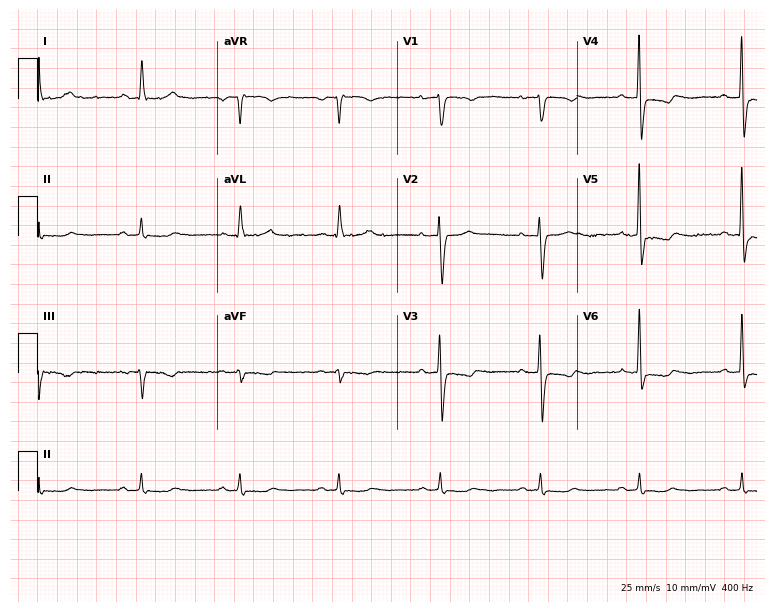
Electrocardiogram (7.3-second recording at 400 Hz), a 67-year-old female. Of the six screened findings (first-degree AV block, right bundle branch block (RBBB), left bundle branch block (LBBB), sinus bradycardia, atrial fibrillation (AF), sinus tachycardia), none is recorded. Findings outside these six are not listed.